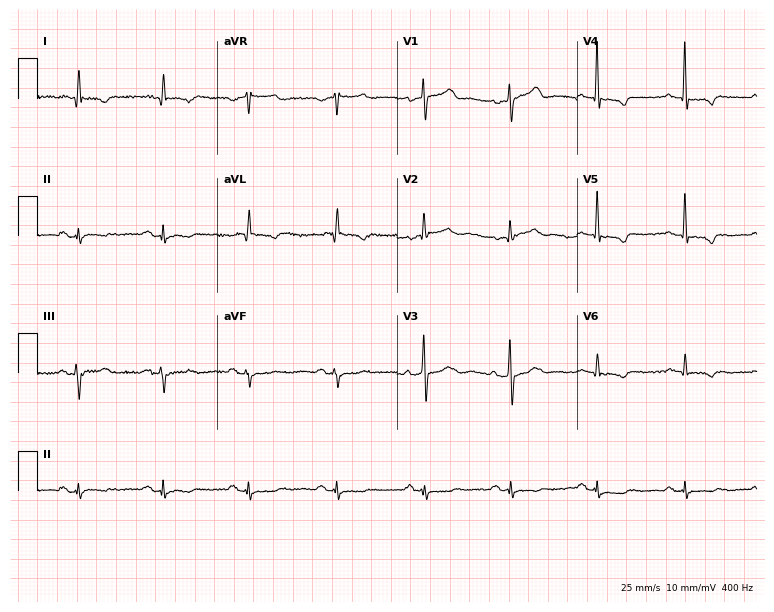
12-lead ECG from a male, 81 years old. Screened for six findings — first-degree AV block, right bundle branch block, left bundle branch block, sinus bradycardia, atrial fibrillation, sinus tachycardia — none is recorded. Other findings, if any, are not listed.